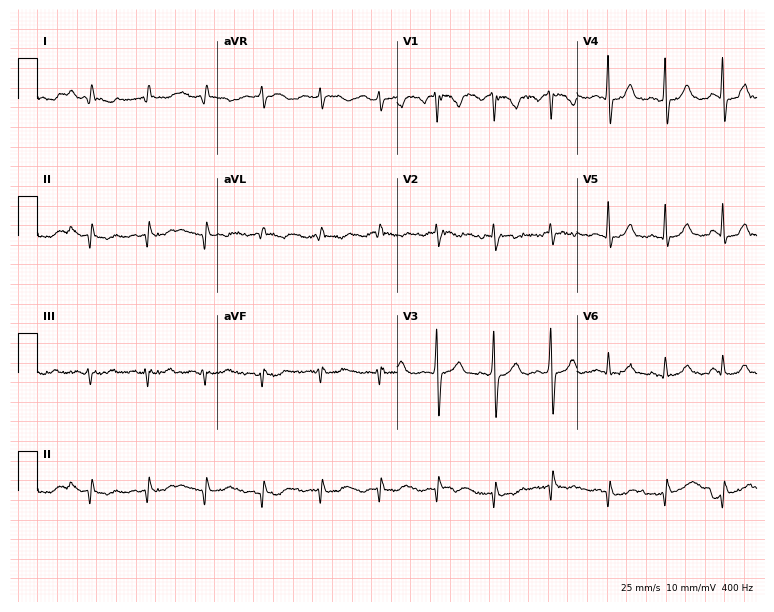
Resting 12-lead electrocardiogram (7.3-second recording at 400 Hz). Patient: a male, 50 years old. None of these six findings is recorded: first-degree AV block, right bundle branch block, left bundle branch block, sinus bradycardia, atrial fibrillation, sinus tachycardia.